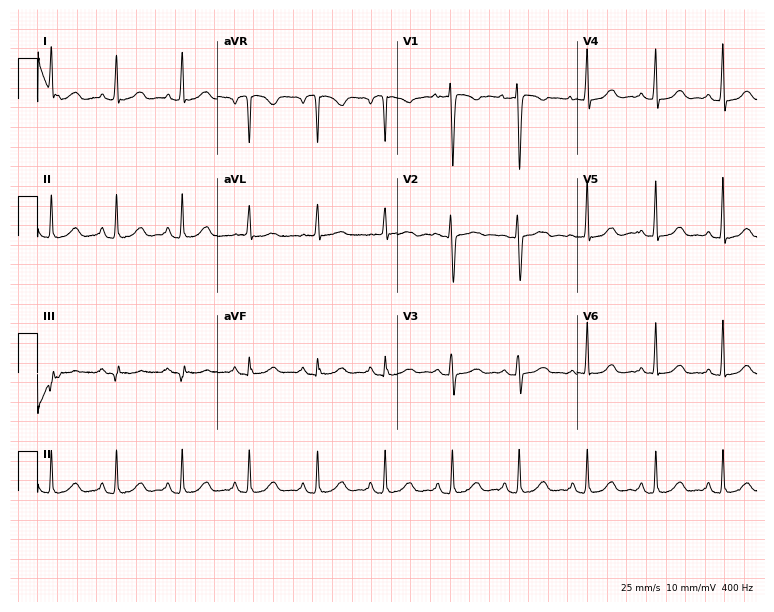
12-lead ECG from a 59-year-old female patient. Recorded interpretation: within normal limits.